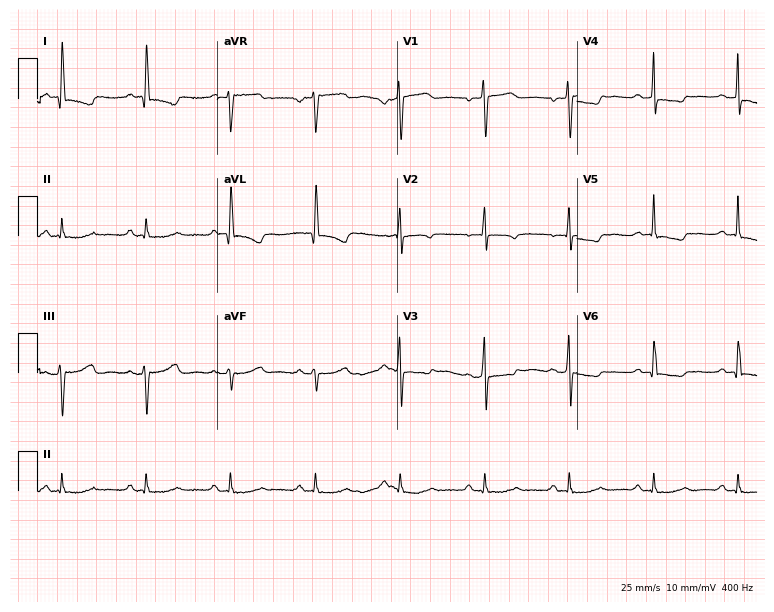
Electrocardiogram, a 57-year-old female. Of the six screened findings (first-degree AV block, right bundle branch block, left bundle branch block, sinus bradycardia, atrial fibrillation, sinus tachycardia), none is recorded.